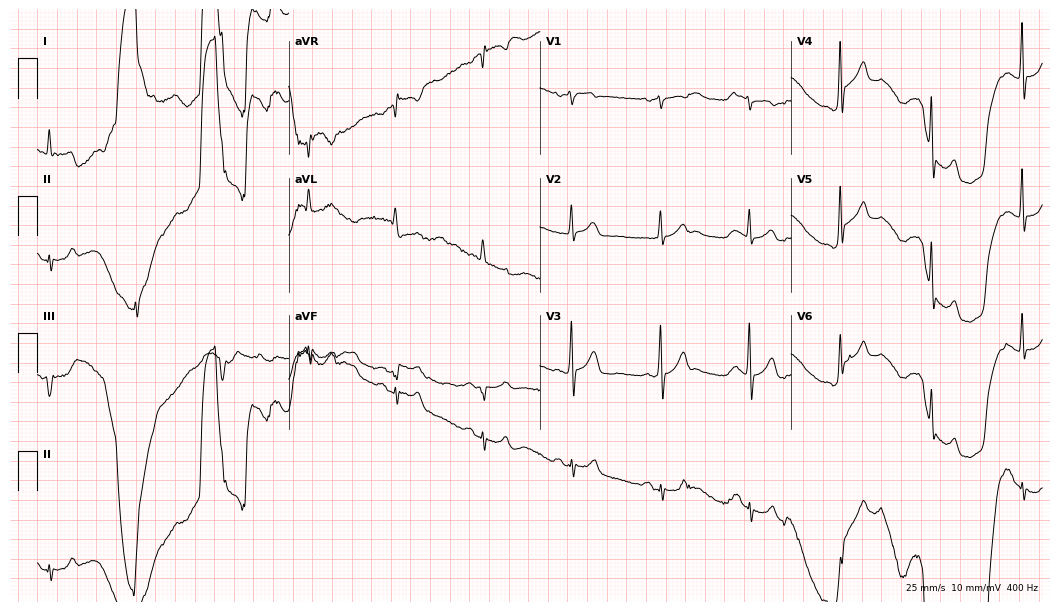
Resting 12-lead electrocardiogram. Patient: a man, 71 years old. None of these six findings is recorded: first-degree AV block, right bundle branch block, left bundle branch block, sinus bradycardia, atrial fibrillation, sinus tachycardia. Findings outside these six are not listed.